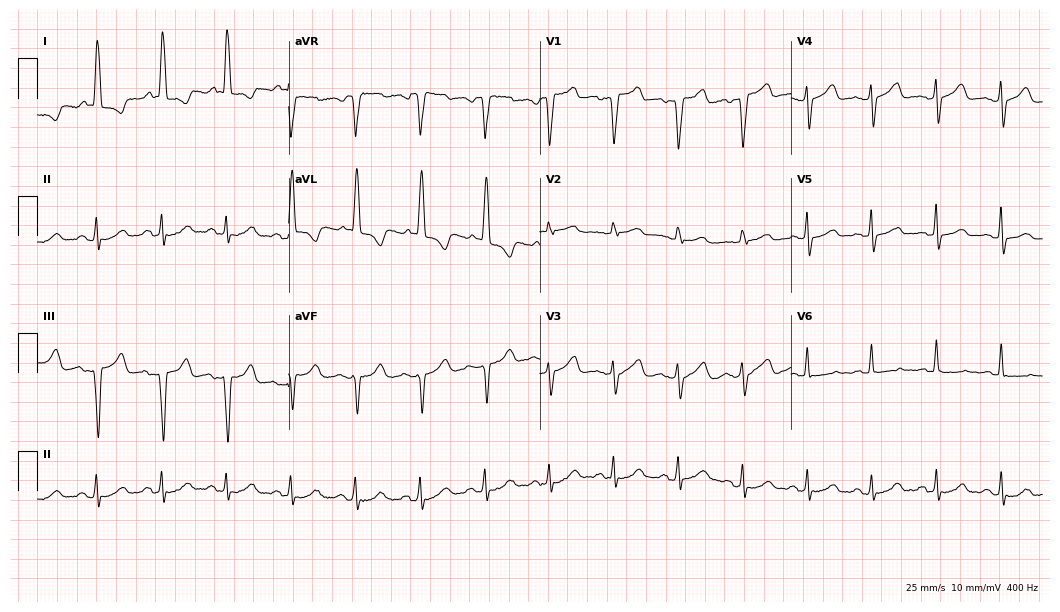
Standard 12-lead ECG recorded from a 58-year-old woman. None of these six findings is recorded: first-degree AV block, right bundle branch block, left bundle branch block, sinus bradycardia, atrial fibrillation, sinus tachycardia.